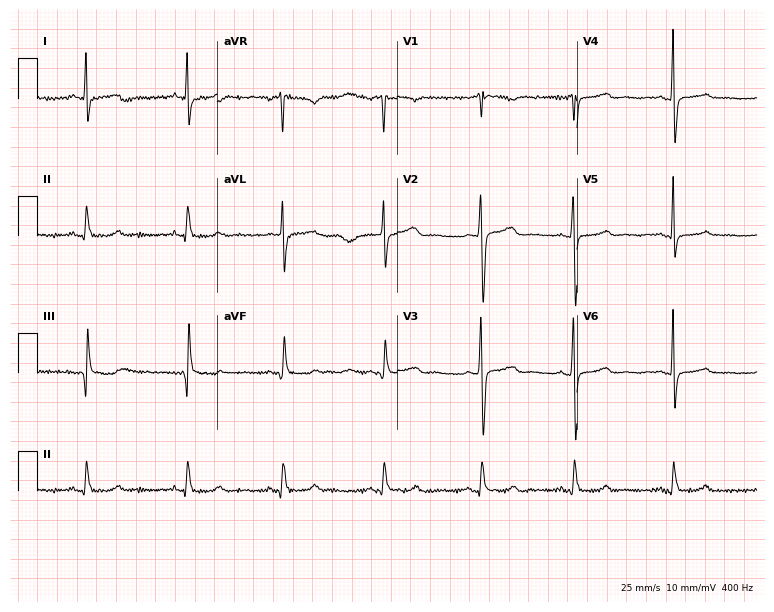
Standard 12-lead ECG recorded from a 51-year-old female (7.3-second recording at 400 Hz). None of these six findings is recorded: first-degree AV block, right bundle branch block, left bundle branch block, sinus bradycardia, atrial fibrillation, sinus tachycardia. Only these six findings were labelled.